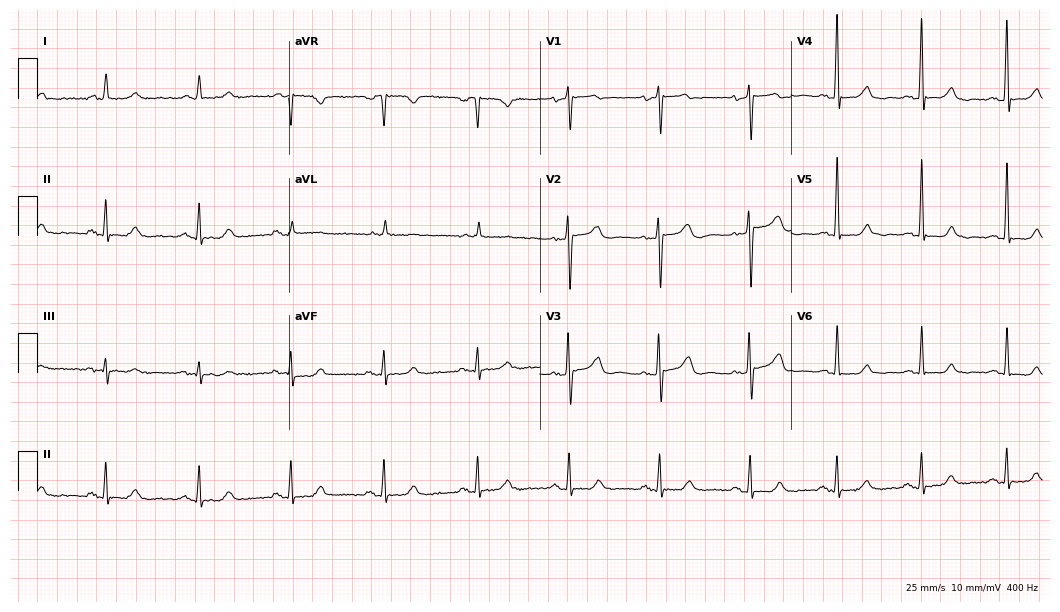
Resting 12-lead electrocardiogram (10.2-second recording at 400 Hz). Patient: a female, 66 years old. Read as a normal ECG.